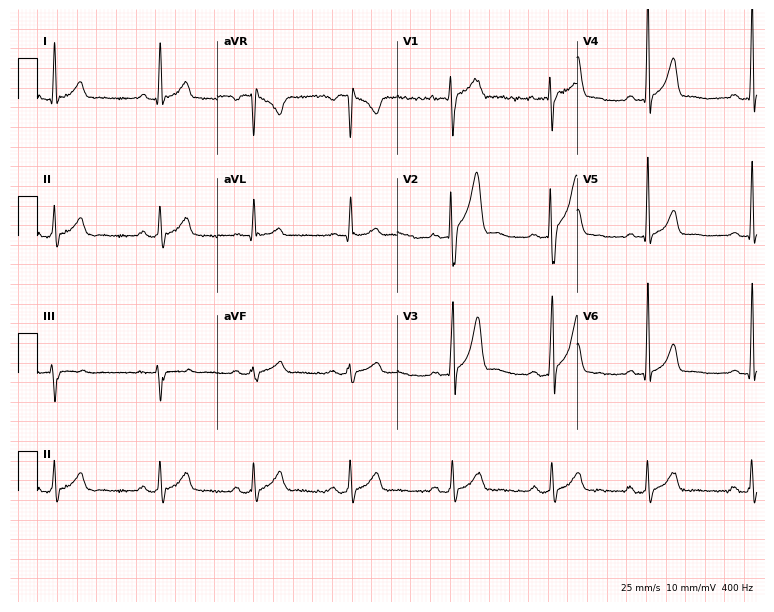
Resting 12-lead electrocardiogram (7.3-second recording at 400 Hz). Patient: a 27-year-old male. None of these six findings is recorded: first-degree AV block, right bundle branch block, left bundle branch block, sinus bradycardia, atrial fibrillation, sinus tachycardia. Findings outside these six are not listed.